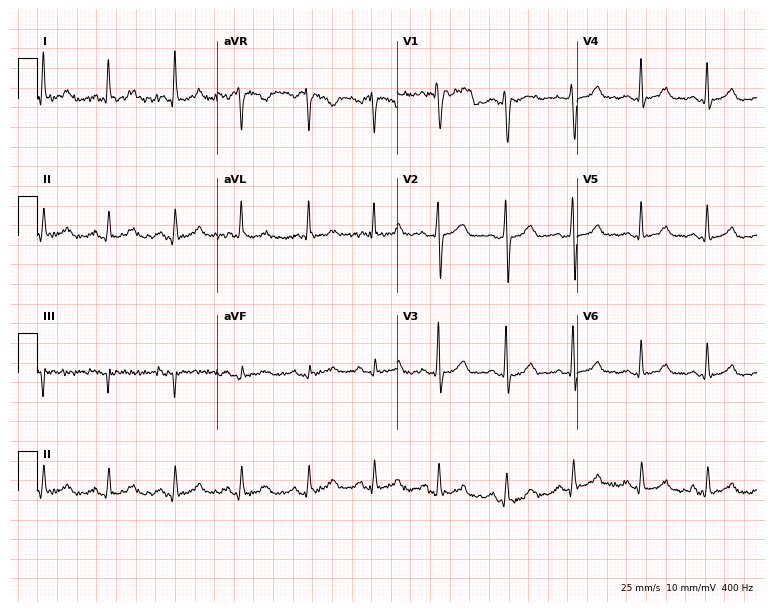
Resting 12-lead electrocardiogram (7.3-second recording at 400 Hz). Patient: a man, 37 years old. Read as a normal ECG.